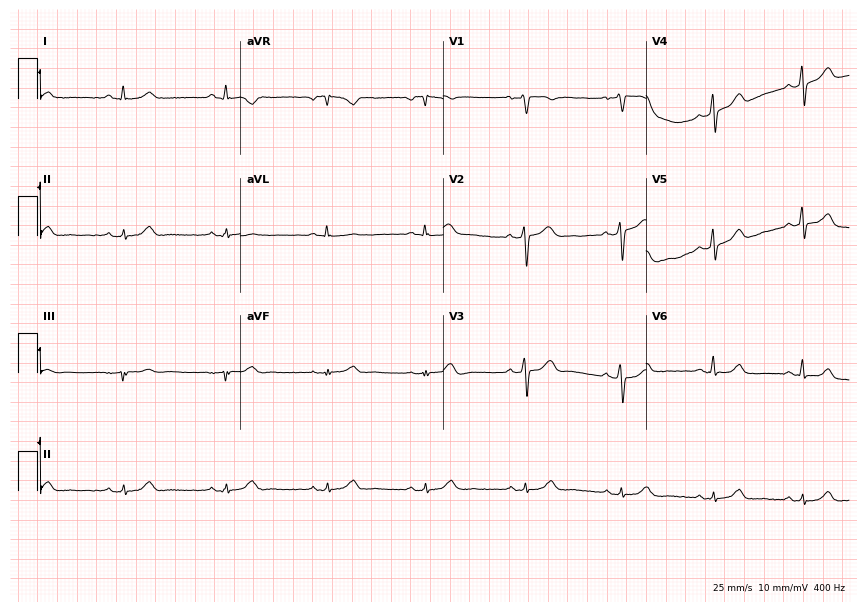
Resting 12-lead electrocardiogram (8.3-second recording at 400 Hz). Patient: a man, 68 years old. None of these six findings is recorded: first-degree AV block, right bundle branch block, left bundle branch block, sinus bradycardia, atrial fibrillation, sinus tachycardia.